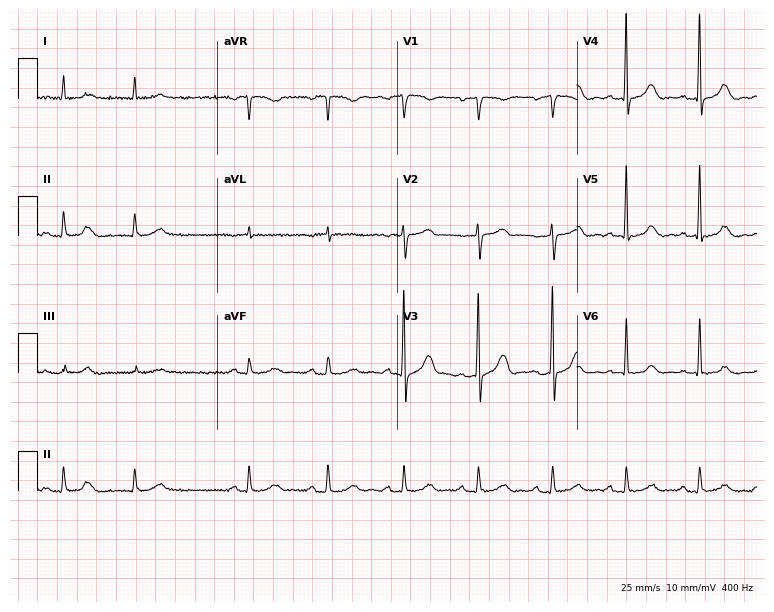
ECG (7.3-second recording at 400 Hz) — a male patient, 82 years old. Screened for six findings — first-degree AV block, right bundle branch block (RBBB), left bundle branch block (LBBB), sinus bradycardia, atrial fibrillation (AF), sinus tachycardia — none is recorded.